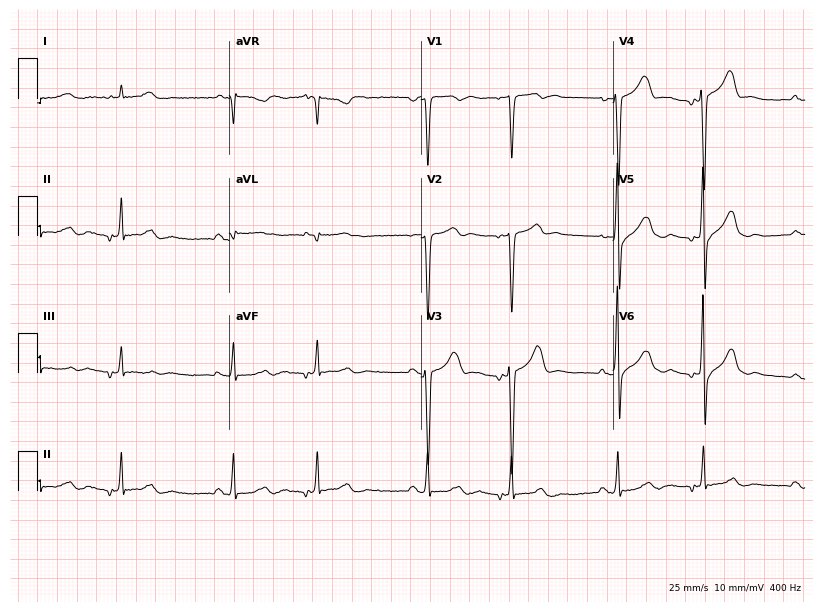
Resting 12-lead electrocardiogram. Patient: a 71-year-old male. None of these six findings is recorded: first-degree AV block, right bundle branch block, left bundle branch block, sinus bradycardia, atrial fibrillation, sinus tachycardia. Other findings, if any, are not listed.